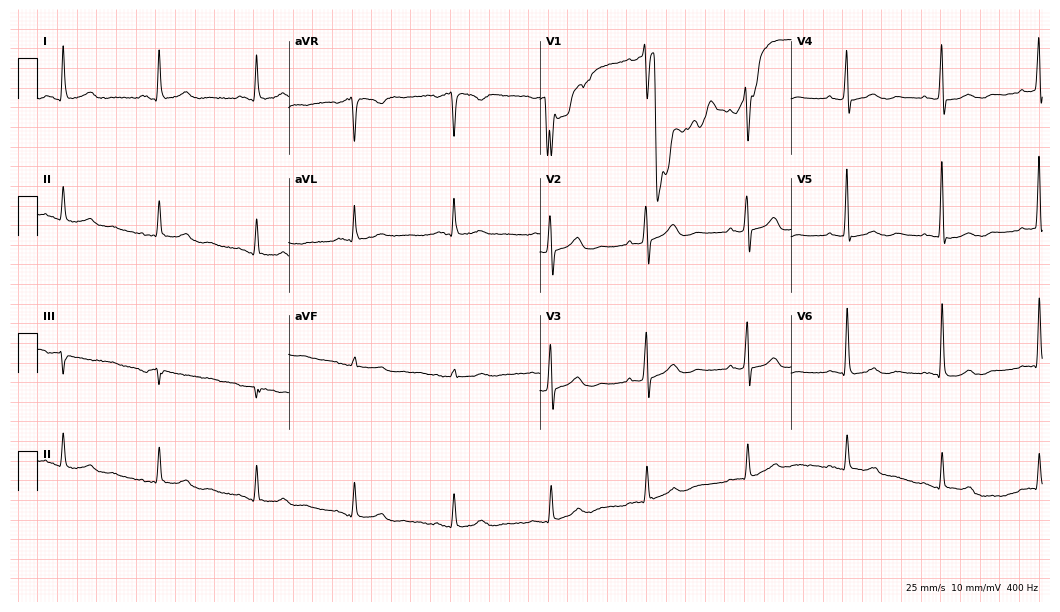
ECG — a 69-year-old female. Labelled as a normal ECG.